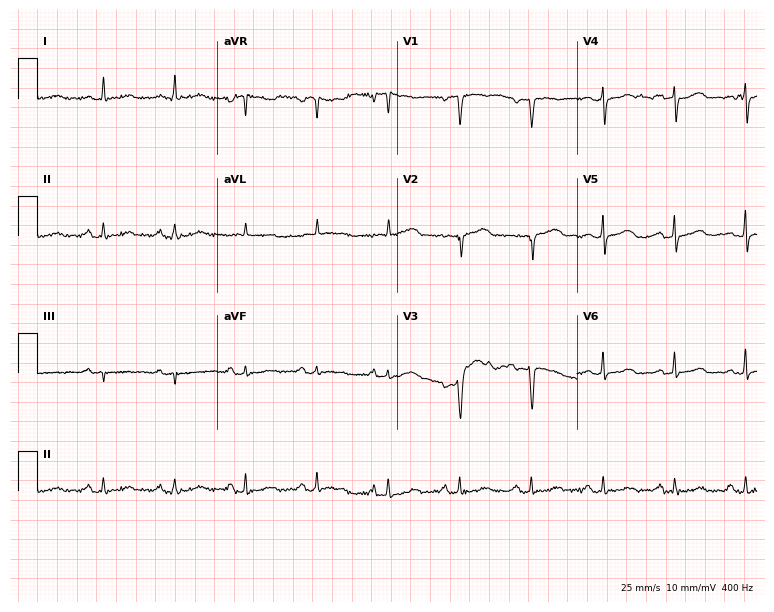
ECG — a 64-year-old female. Labelled as a normal ECG.